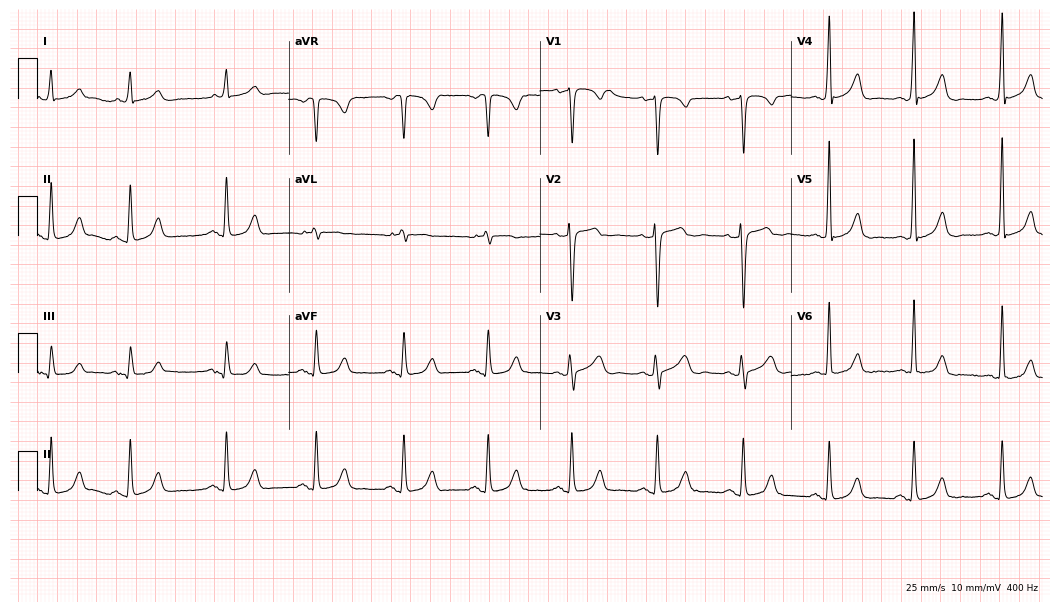
12-lead ECG from a 79-year-old woman (10.2-second recording at 400 Hz). Recorded interpretation: within normal limits.